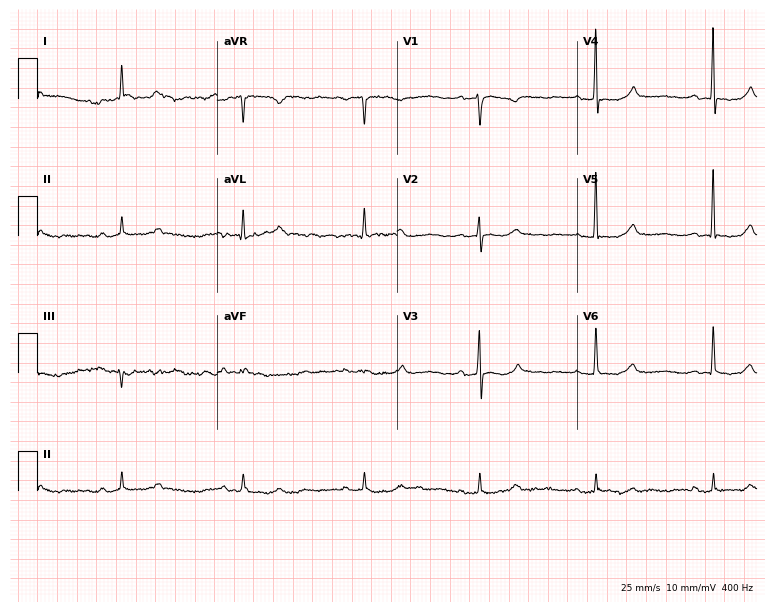
Electrocardiogram, a 69-year-old woman. Interpretation includes sinus bradycardia (a sinus rate of 50 beats per minute or less).